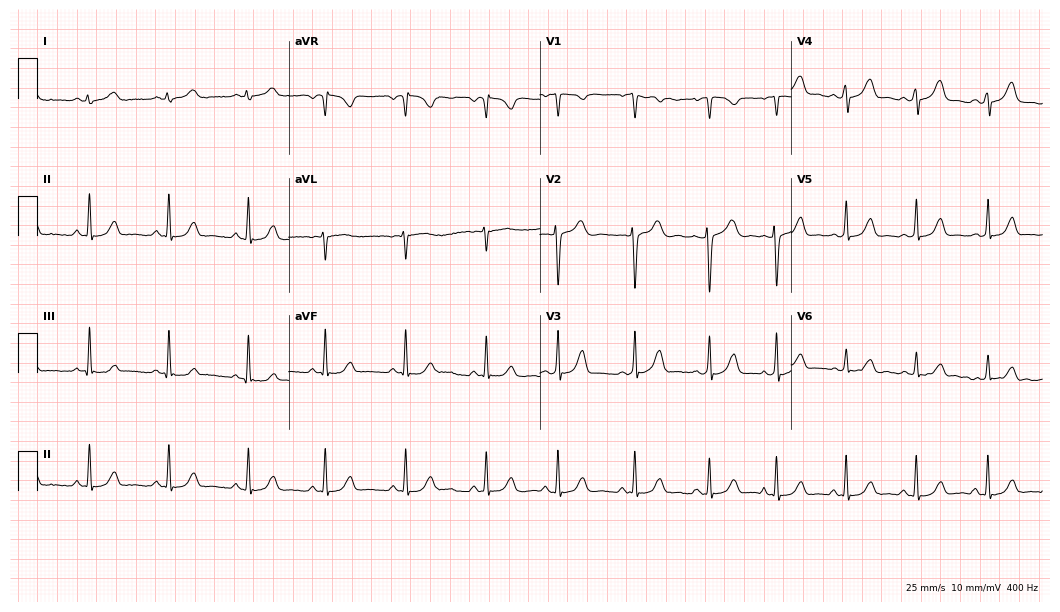
12-lead ECG from a 25-year-old female patient (10.2-second recording at 400 Hz). Recorded interpretation: within normal limits.